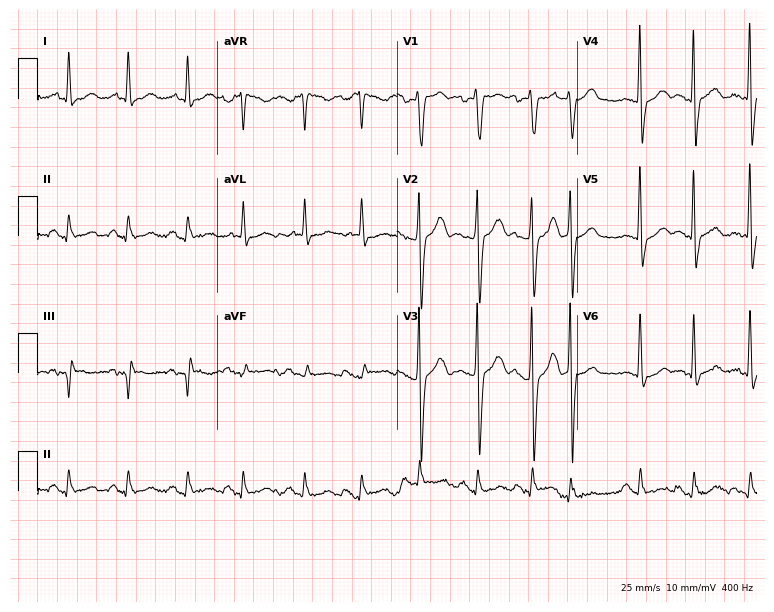
ECG — a male patient, 85 years old. Screened for six findings — first-degree AV block, right bundle branch block (RBBB), left bundle branch block (LBBB), sinus bradycardia, atrial fibrillation (AF), sinus tachycardia — none is recorded. Other findings, if any, are not listed.